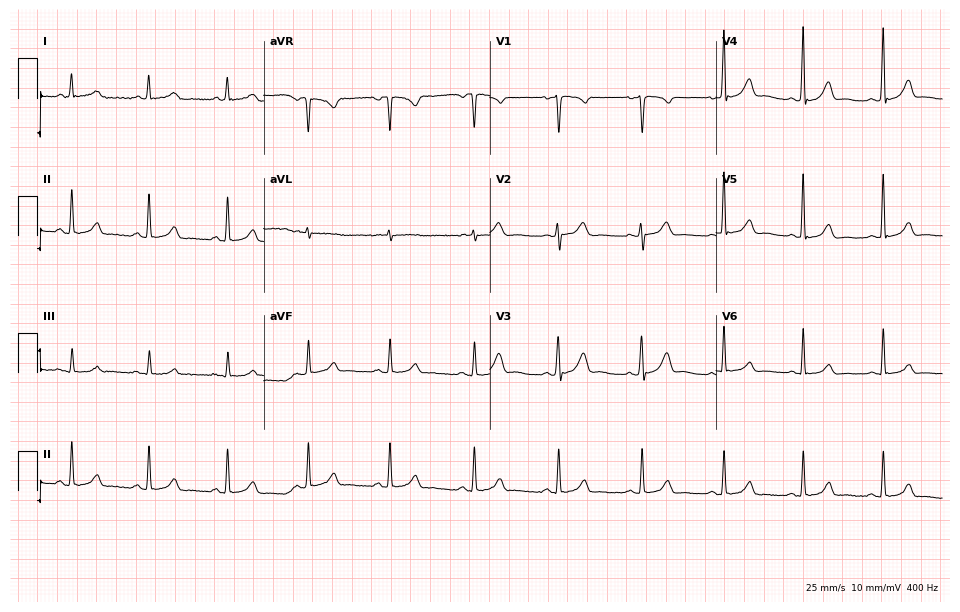
12-lead ECG (9.2-second recording at 400 Hz) from a 37-year-old female patient. Labelled as a normal ECG.